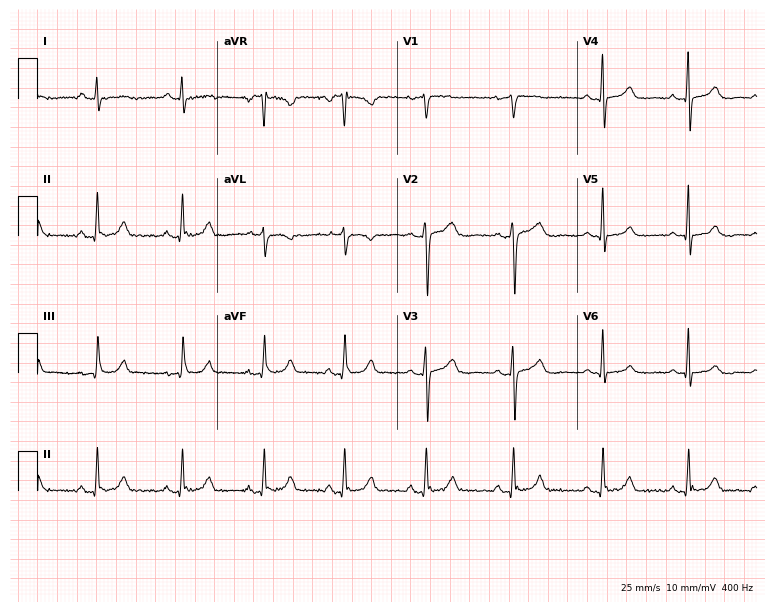
12-lead ECG from a 53-year-old female patient. Labelled as a normal ECG.